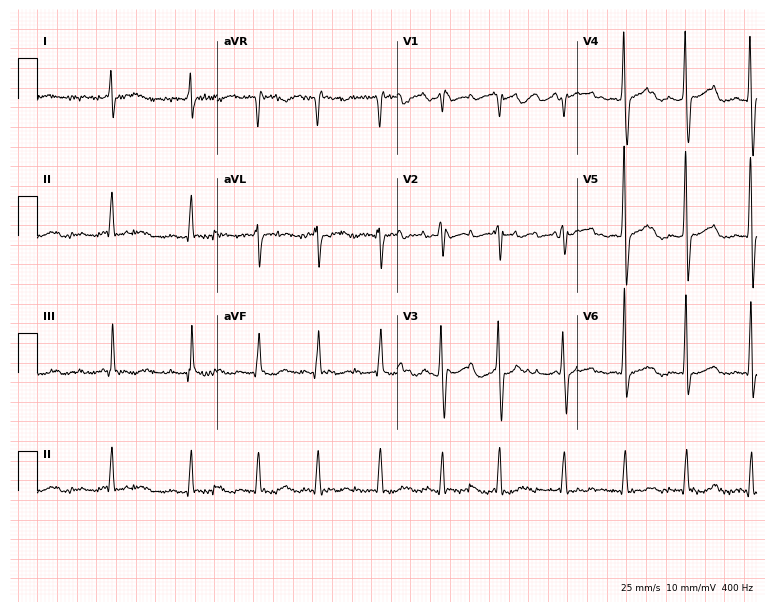
Resting 12-lead electrocardiogram (7.3-second recording at 400 Hz). Patient: a female, 59 years old. None of these six findings is recorded: first-degree AV block, right bundle branch block, left bundle branch block, sinus bradycardia, atrial fibrillation, sinus tachycardia. Other findings, if any, are not listed.